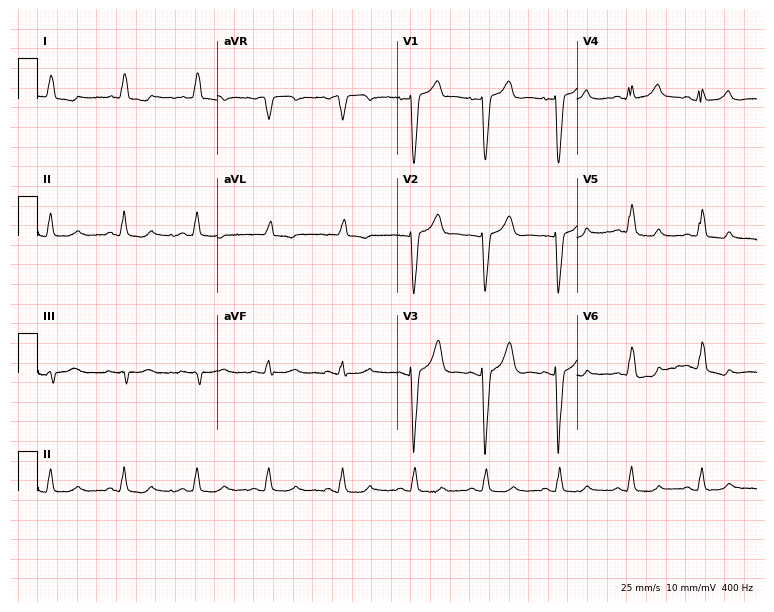
12-lead ECG (7.3-second recording at 400 Hz) from a woman, 69 years old. Screened for six findings — first-degree AV block, right bundle branch block, left bundle branch block, sinus bradycardia, atrial fibrillation, sinus tachycardia — none is recorded. Other findings, if any, are not listed.